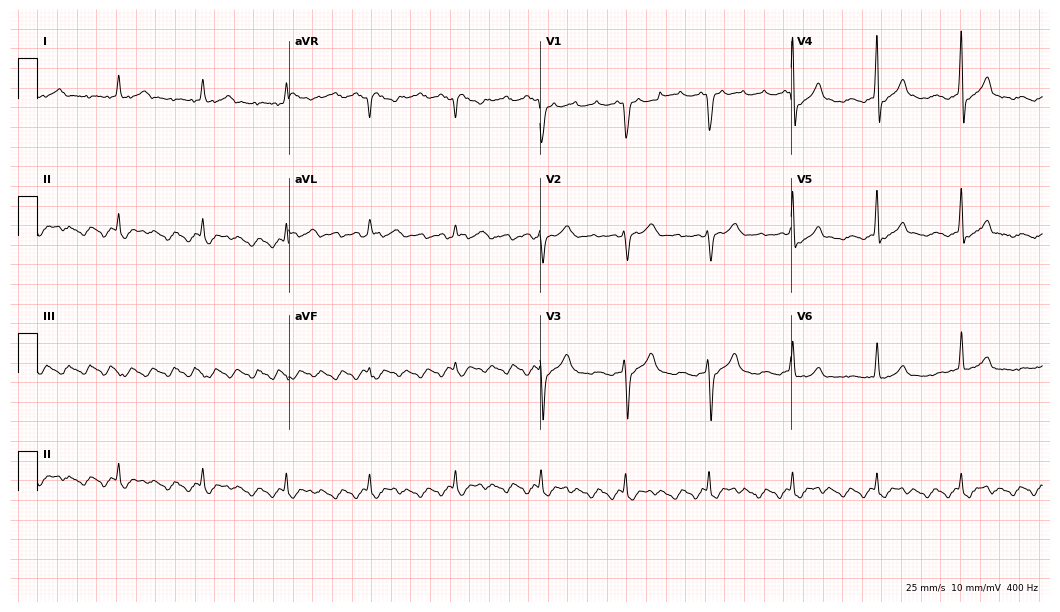
Resting 12-lead electrocardiogram (10.2-second recording at 400 Hz). Patient: a man, 72 years old. None of these six findings is recorded: first-degree AV block, right bundle branch block, left bundle branch block, sinus bradycardia, atrial fibrillation, sinus tachycardia. Findings outside these six are not listed.